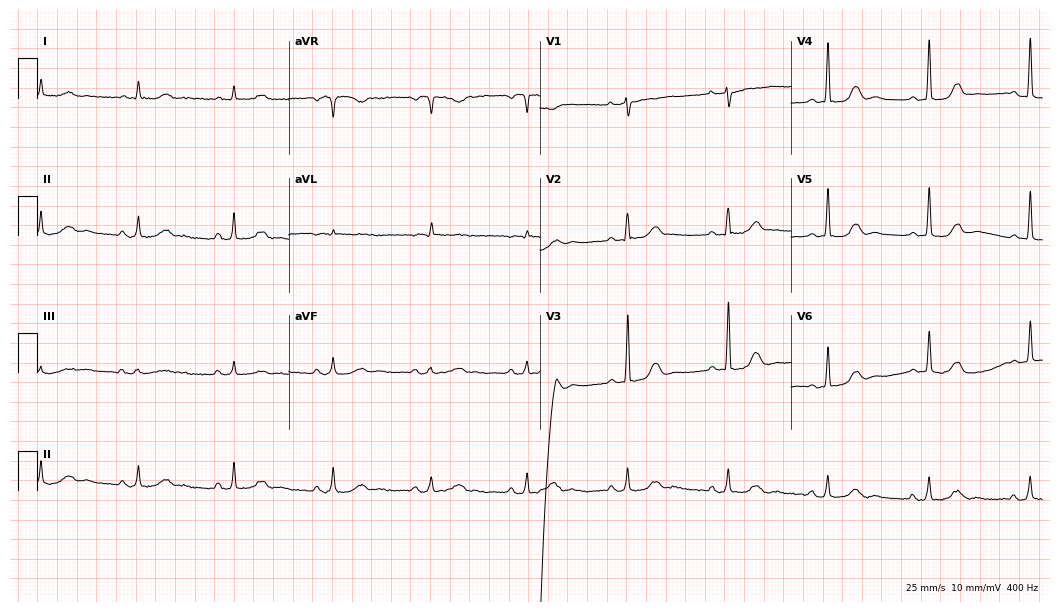
ECG — a 71-year-old female patient. Screened for six findings — first-degree AV block, right bundle branch block, left bundle branch block, sinus bradycardia, atrial fibrillation, sinus tachycardia — none is recorded.